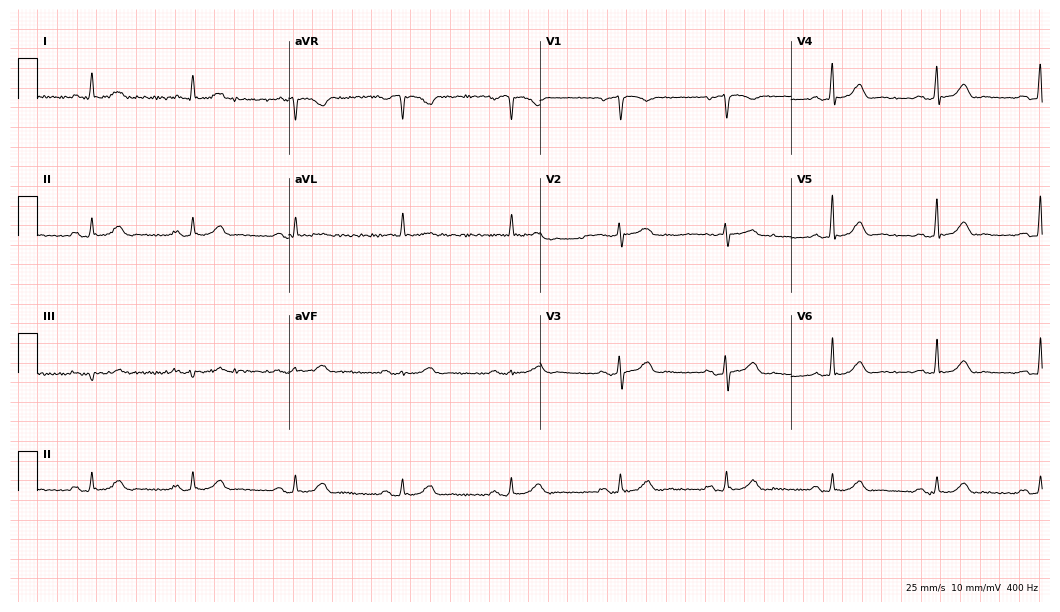
12-lead ECG (10.2-second recording at 400 Hz) from a male patient, 73 years old. Screened for six findings — first-degree AV block, right bundle branch block, left bundle branch block, sinus bradycardia, atrial fibrillation, sinus tachycardia — none is recorded.